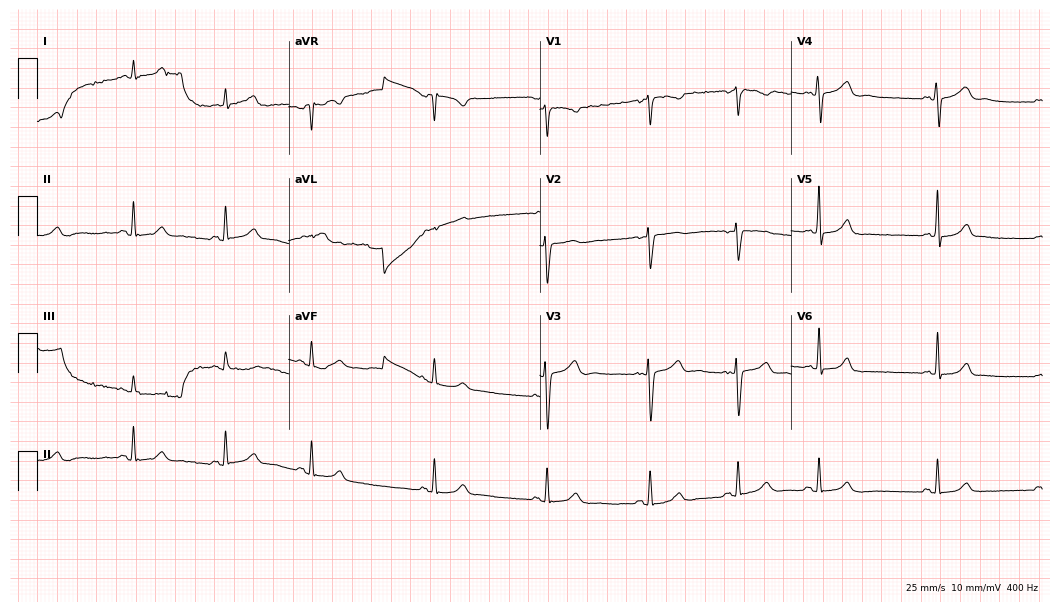
12-lead ECG from a 25-year-old female. Recorded interpretation: within normal limits.